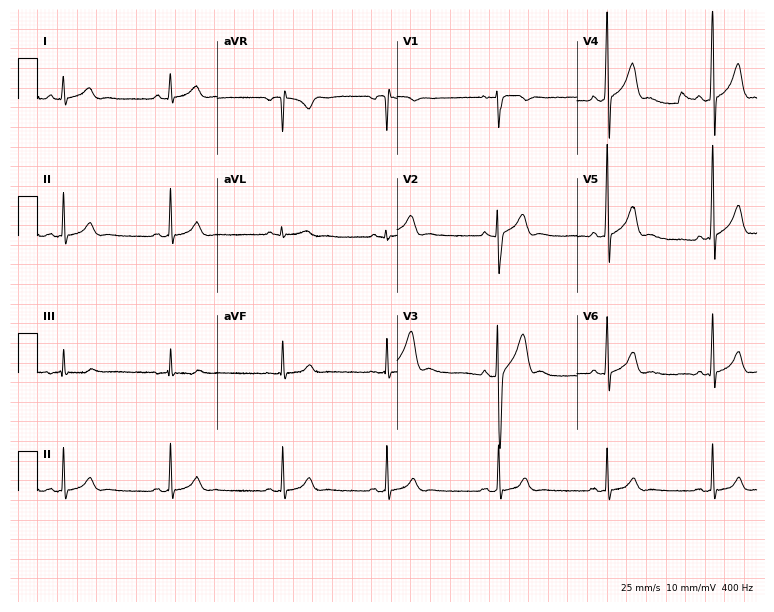
Electrocardiogram, a 26-year-old male patient. Overall reading on record: normal ECG.